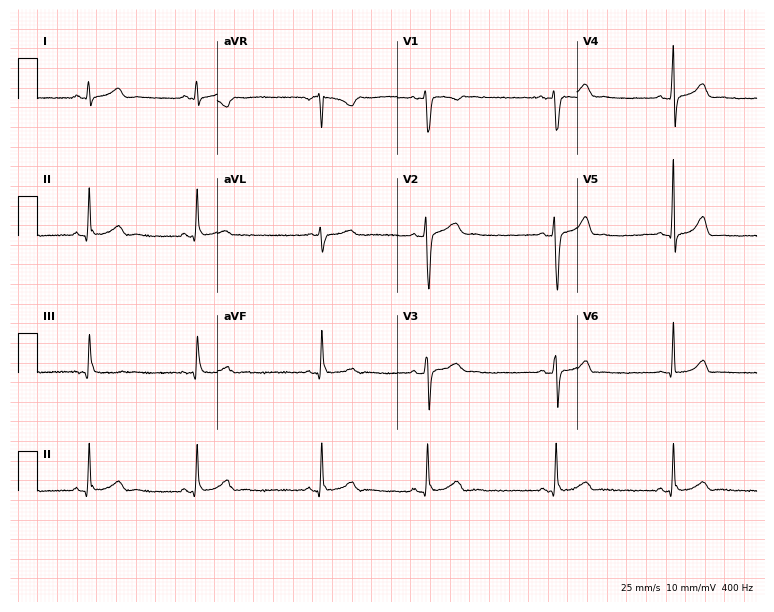
12-lead ECG (7.3-second recording at 400 Hz) from a female patient, 41 years old. Labelled as a normal ECG.